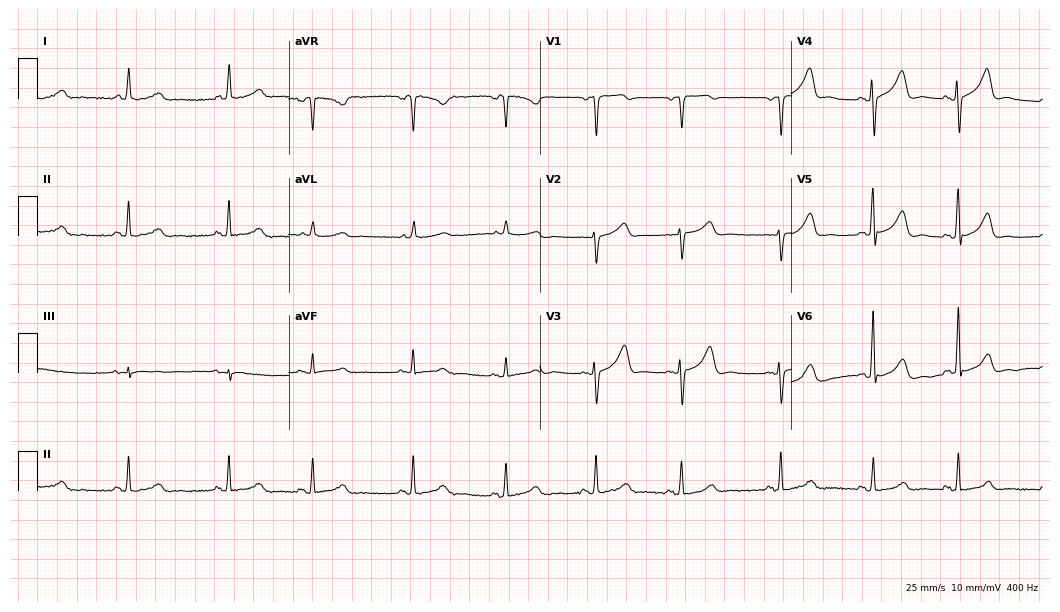
Electrocardiogram (10.2-second recording at 400 Hz), an 81-year-old female. Overall reading on record: normal ECG.